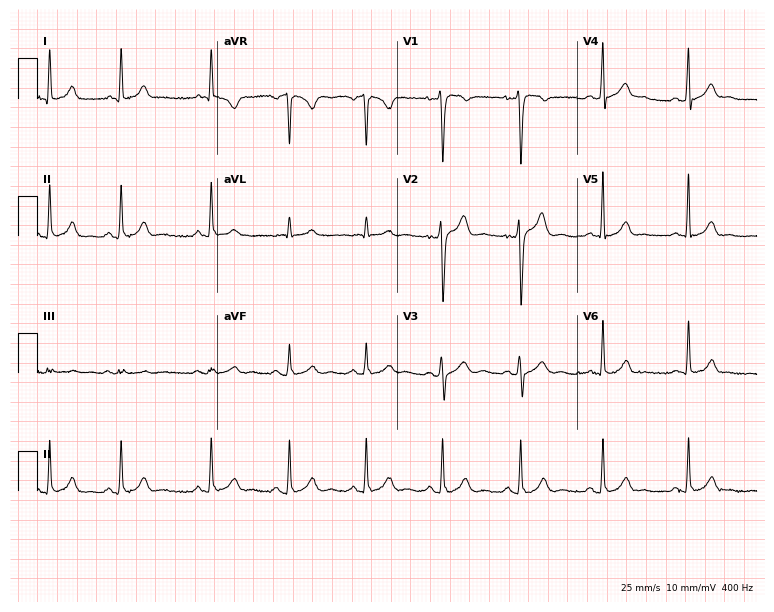
12-lead ECG from a man, 22 years old. Labelled as a normal ECG.